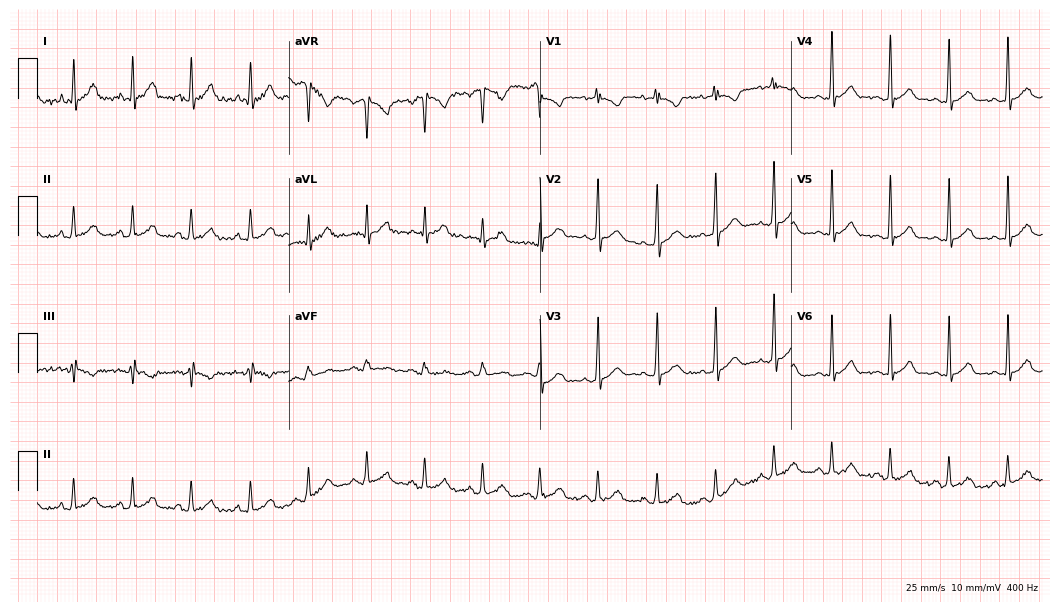
Electrocardiogram, a female, 26 years old. Overall reading on record: normal ECG.